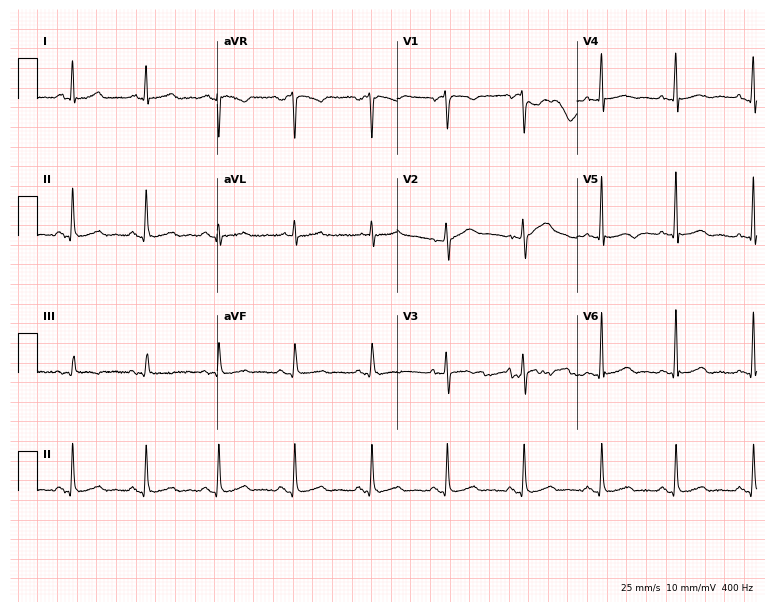
Resting 12-lead electrocardiogram (7.3-second recording at 400 Hz). Patient: a female, 53 years old. Read as a normal ECG.